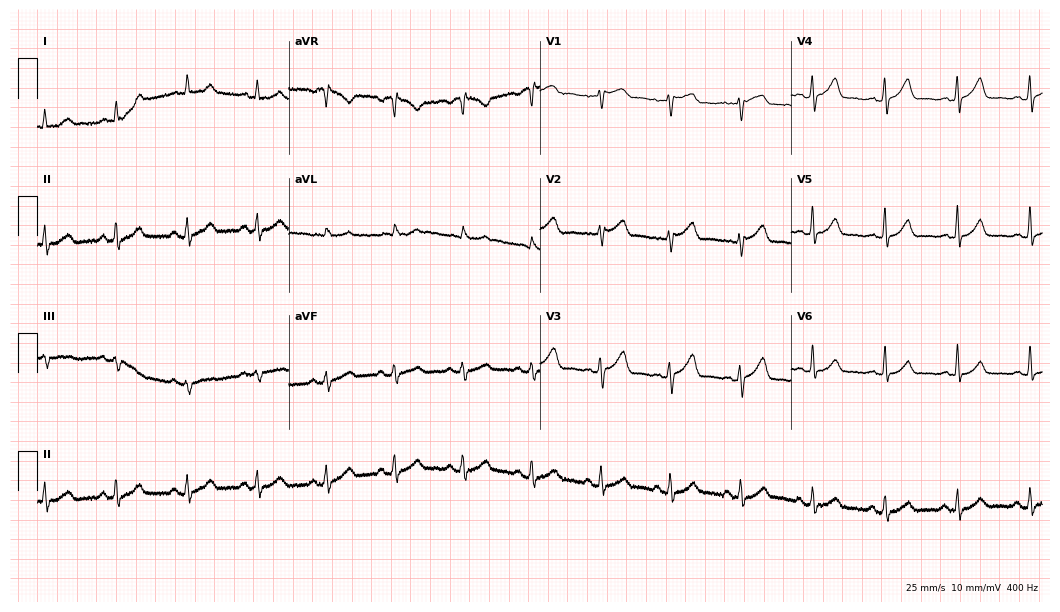
Standard 12-lead ECG recorded from a 70-year-old woman. Read as a normal ECG.